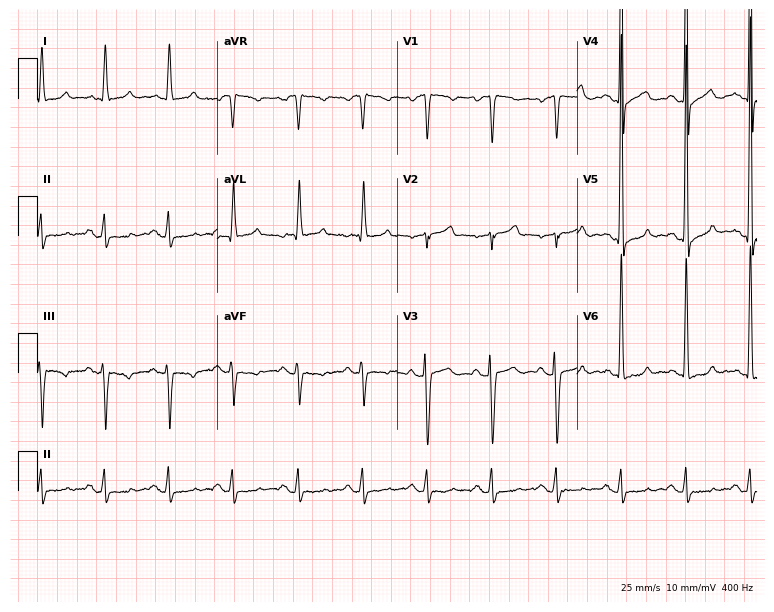
Electrocardiogram, a 65-year-old man. Overall reading on record: normal ECG.